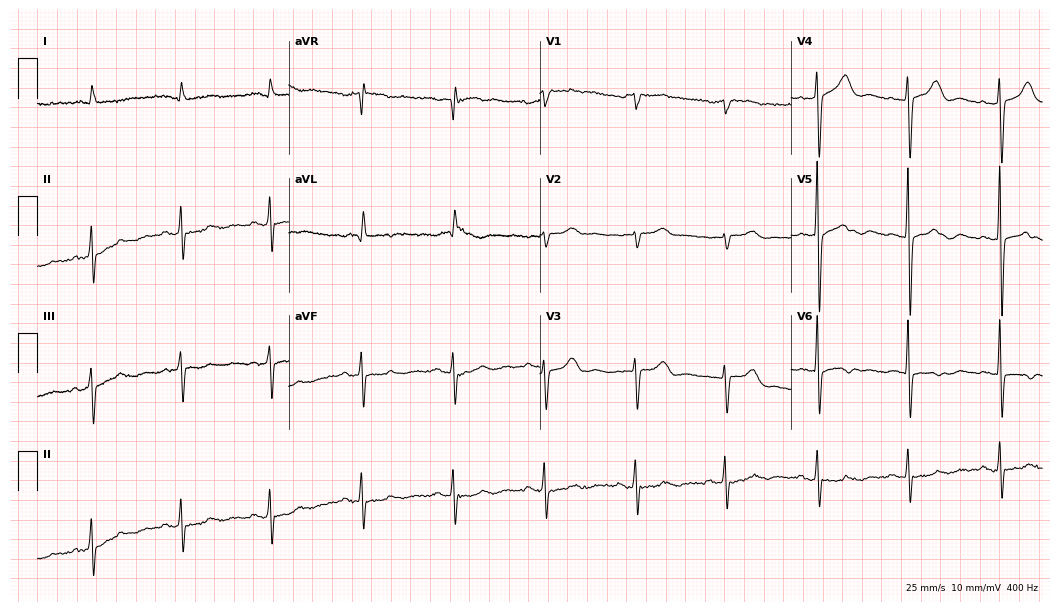
Standard 12-lead ECG recorded from a woman, 74 years old. None of these six findings is recorded: first-degree AV block, right bundle branch block (RBBB), left bundle branch block (LBBB), sinus bradycardia, atrial fibrillation (AF), sinus tachycardia.